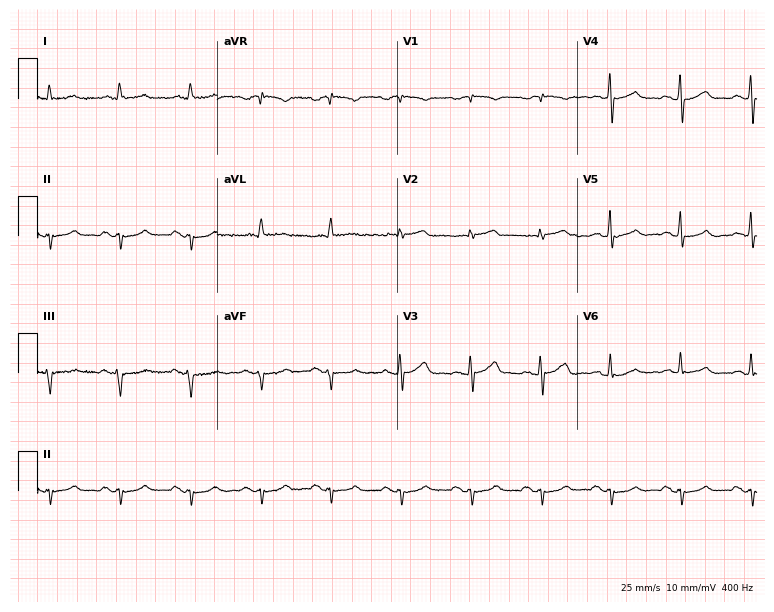
ECG (7.3-second recording at 400 Hz) — a man, 72 years old. Screened for six findings — first-degree AV block, right bundle branch block, left bundle branch block, sinus bradycardia, atrial fibrillation, sinus tachycardia — none is recorded. Only these six findings were labelled.